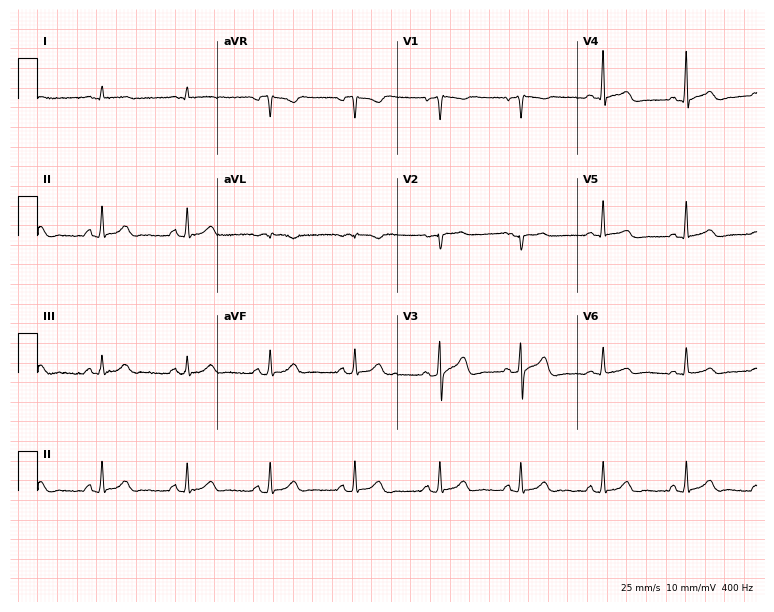
Electrocardiogram, a male patient, 45 years old. Overall reading on record: normal ECG.